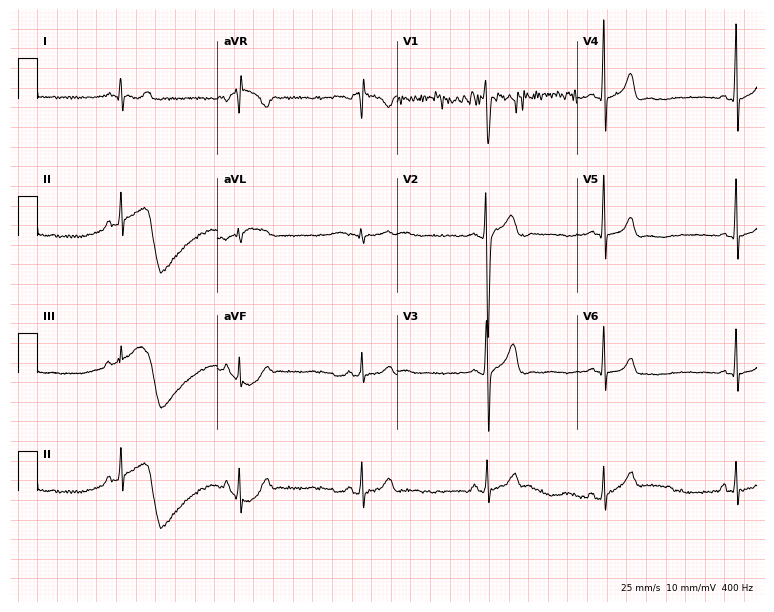
Electrocardiogram (7.3-second recording at 400 Hz), a 17-year-old female. Overall reading on record: normal ECG.